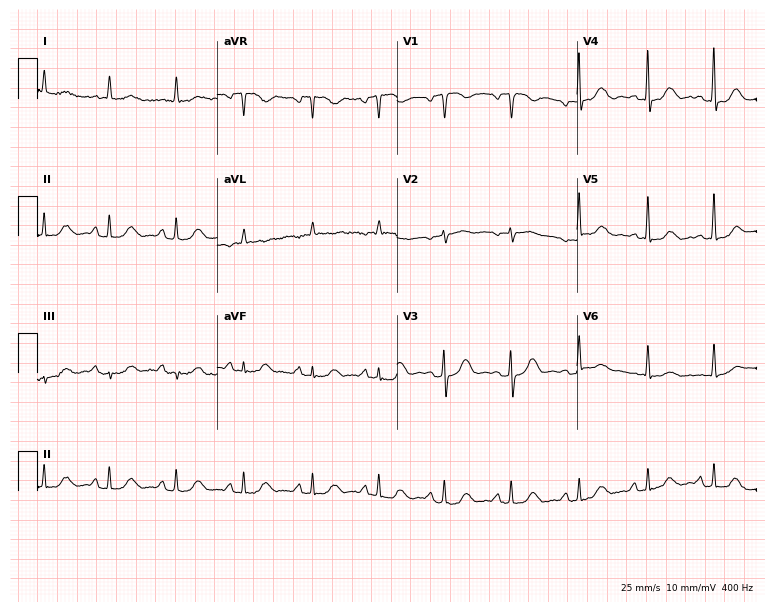
Electrocardiogram (7.3-second recording at 400 Hz), a woman, 82 years old. Of the six screened findings (first-degree AV block, right bundle branch block, left bundle branch block, sinus bradycardia, atrial fibrillation, sinus tachycardia), none is recorded. Other findings, if any, are not listed.